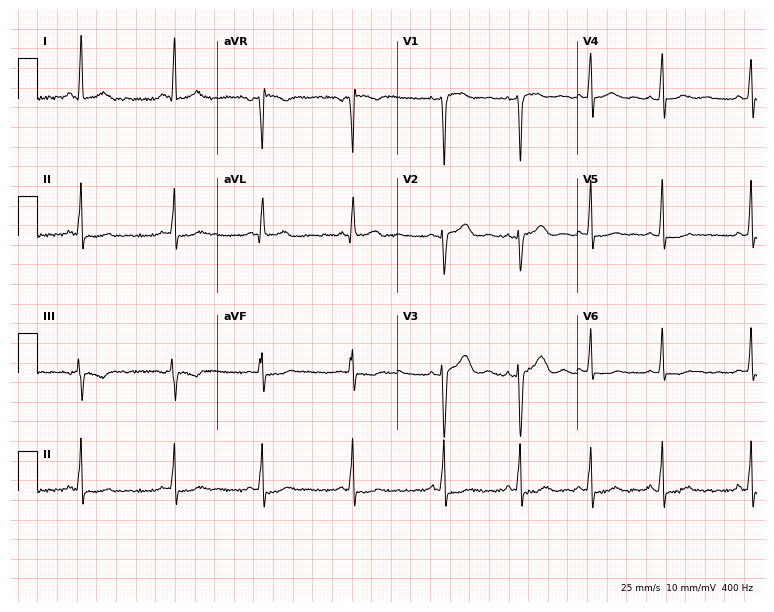
Resting 12-lead electrocardiogram. Patient: a female, 26 years old. None of these six findings is recorded: first-degree AV block, right bundle branch block, left bundle branch block, sinus bradycardia, atrial fibrillation, sinus tachycardia. Other findings, if any, are not listed.